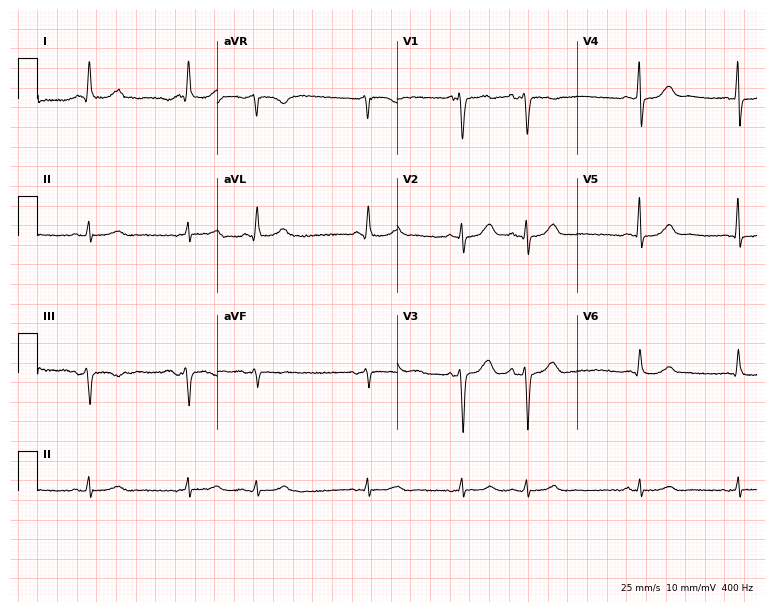
Standard 12-lead ECG recorded from a 60-year-old male (7.3-second recording at 400 Hz). Read as a normal ECG.